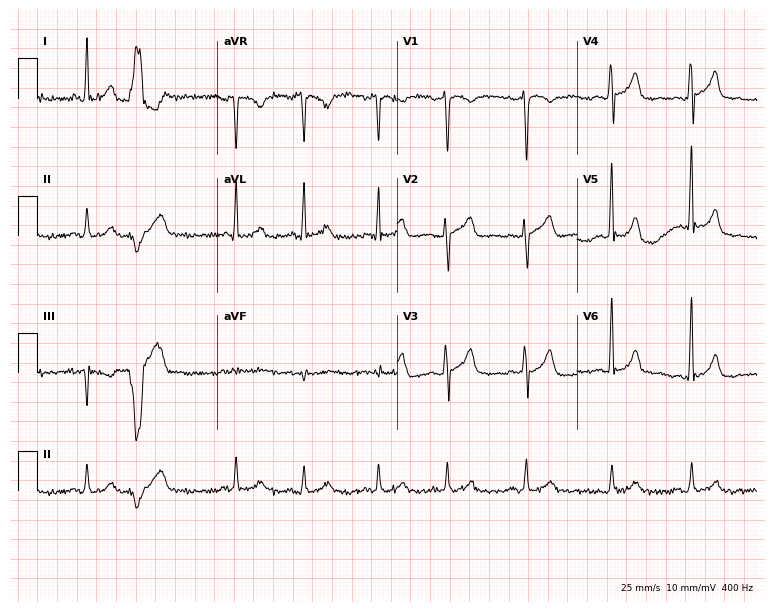
Electrocardiogram (7.3-second recording at 400 Hz), a man, 52 years old. Overall reading on record: normal ECG.